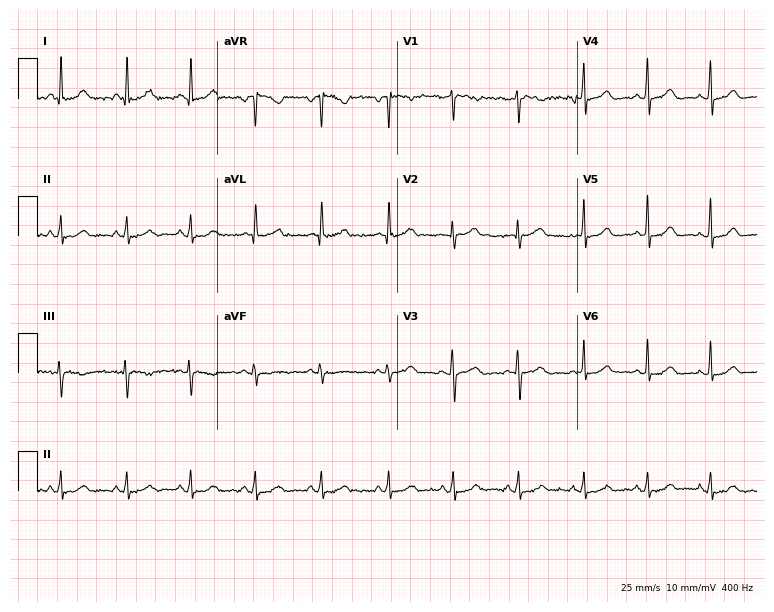
Standard 12-lead ECG recorded from a female patient, 42 years old. Read as a normal ECG.